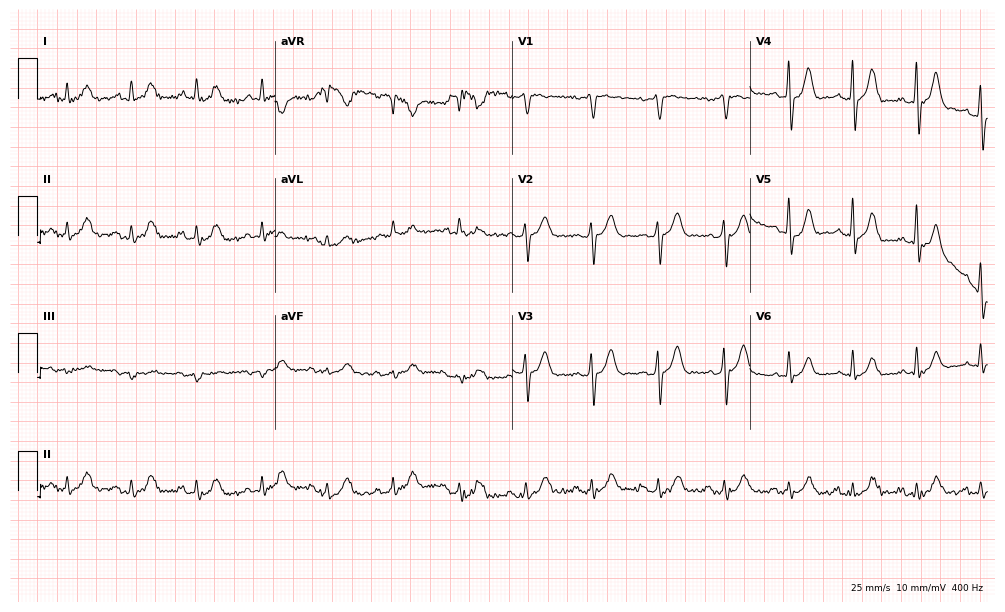
Resting 12-lead electrocardiogram (9.7-second recording at 400 Hz). Patient: a man, 78 years old. Read as a normal ECG.